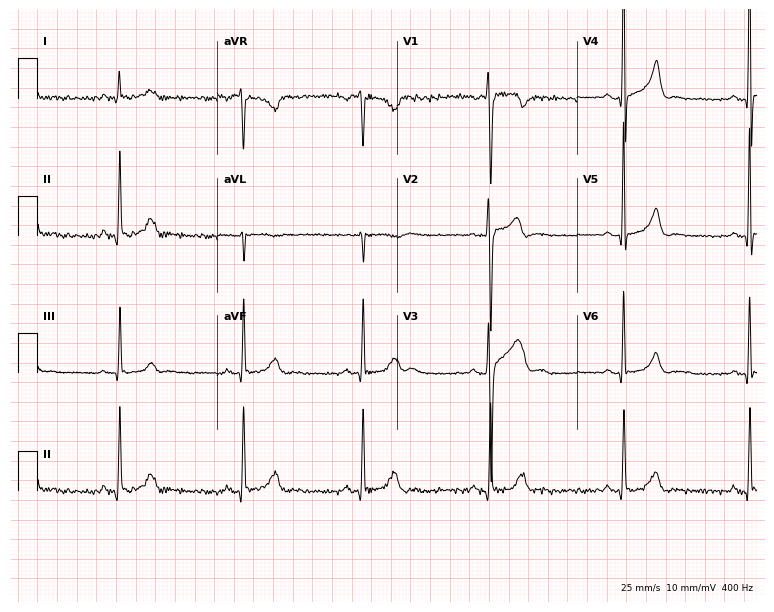
12-lead ECG from a 29-year-old man. Shows right bundle branch block (RBBB).